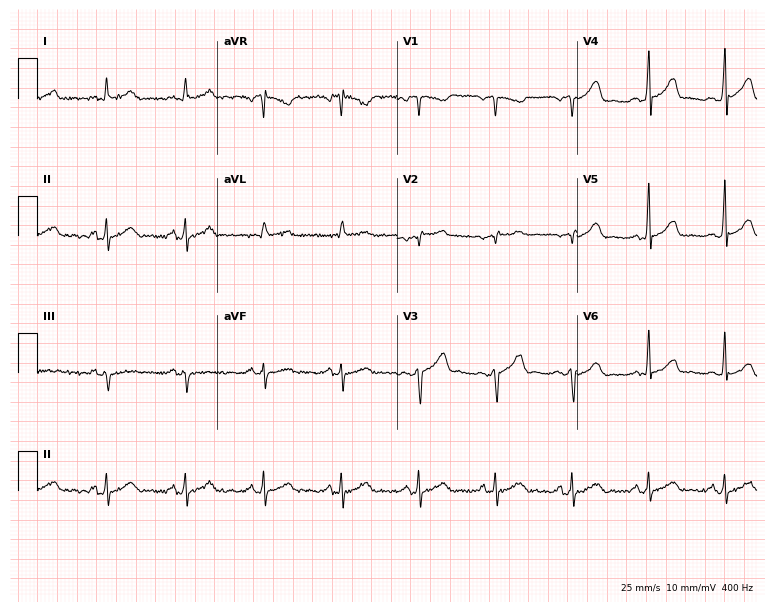
Standard 12-lead ECG recorded from a male, 53 years old (7.3-second recording at 400 Hz). None of these six findings is recorded: first-degree AV block, right bundle branch block, left bundle branch block, sinus bradycardia, atrial fibrillation, sinus tachycardia. Findings outside these six are not listed.